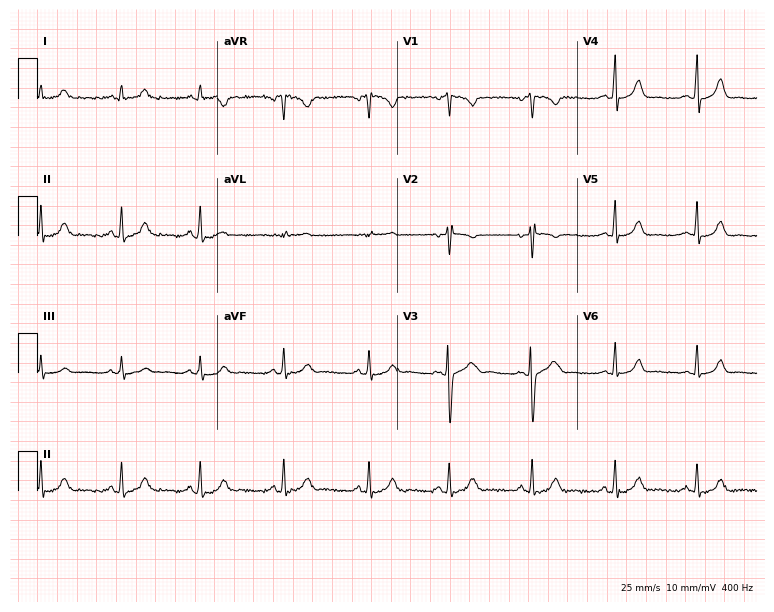
12-lead ECG from a 20-year-old female patient. Labelled as a normal ECG.